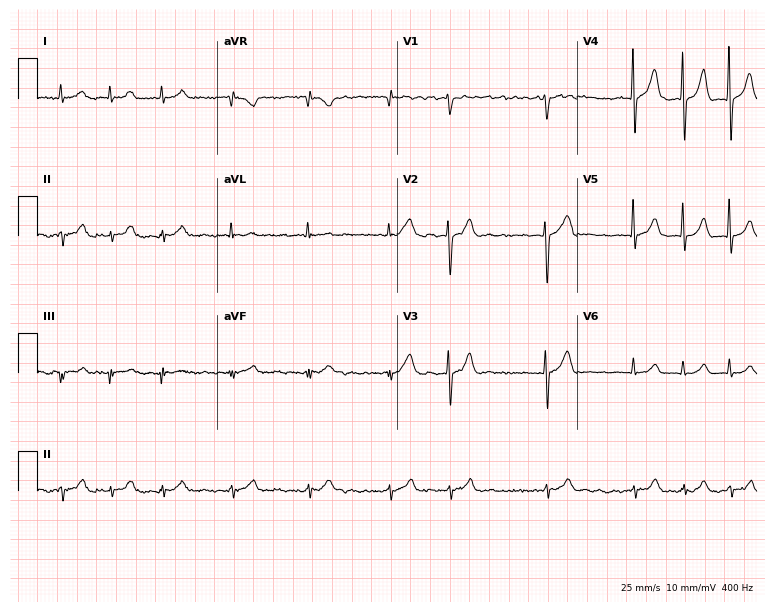
12-lead ECG from a male, 81 years old. Shows atrial fibrillation.